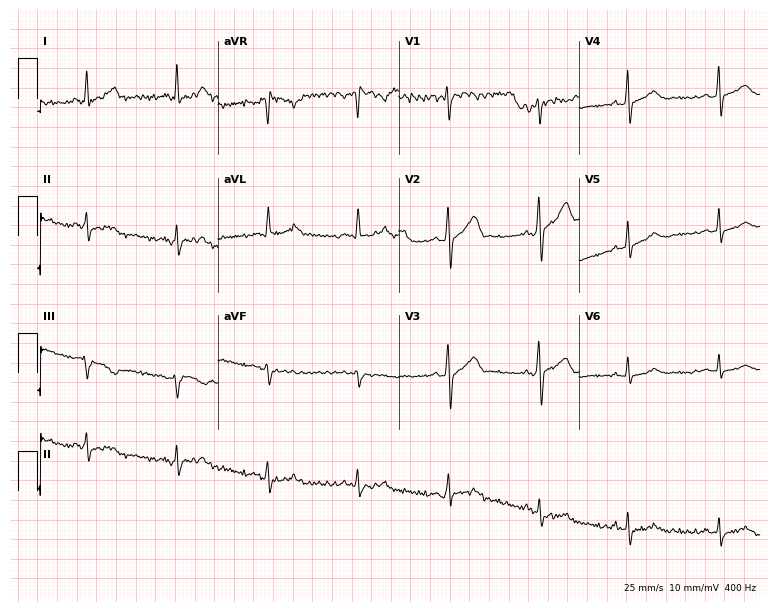
Resting 12-lead electrocardiogram (7.4-second recording at 400 Hz). Patient: a male, 39 years old. None of these six findings is recorded: first-degree AV block, right bundle branch block, left bundle branch block, sinus bradycardia, atrial fibrillation, sinus tachycardia.